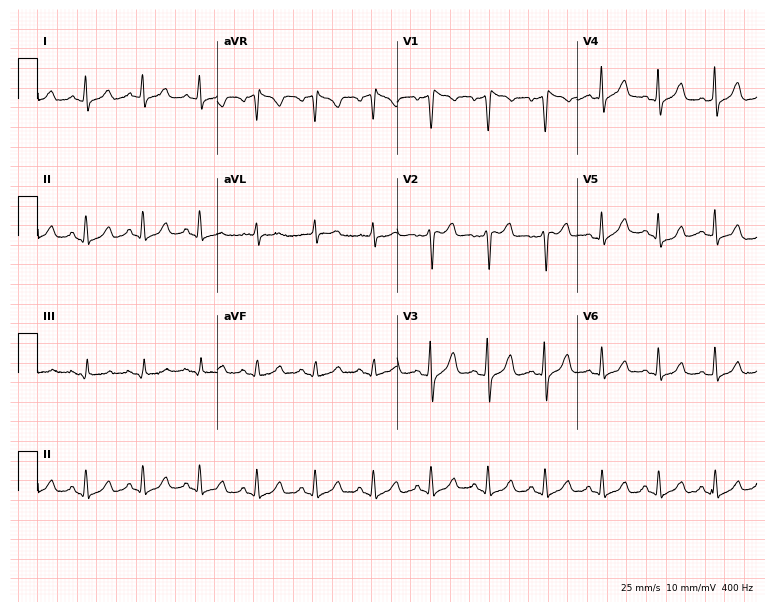
Electrocardiogram (7.3-second recording at 400 Hz), a 45-year-old woman. Interpretation includes sinus tachycardia (a sinus rate of 100 beats per minute or more).